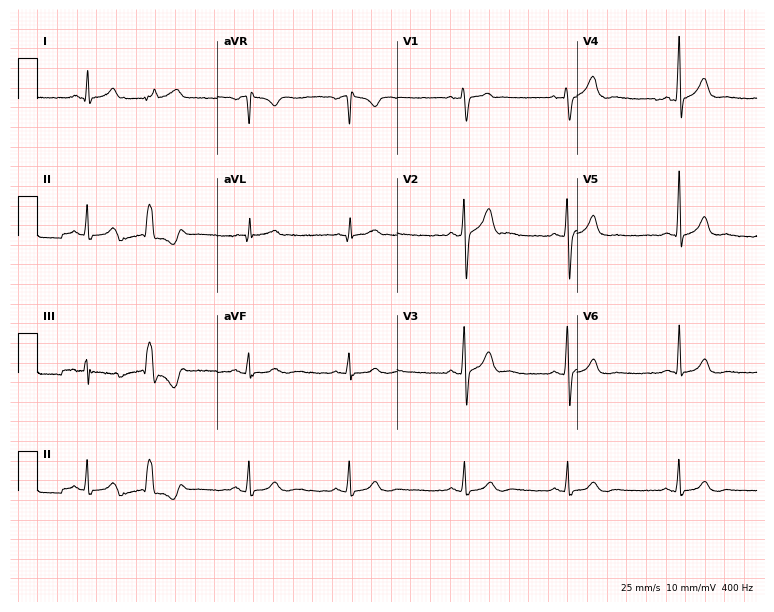
ECG (7.3-second recording at 400 Hz) — a male patient, 23 years old. Labelled as a normal ECG.